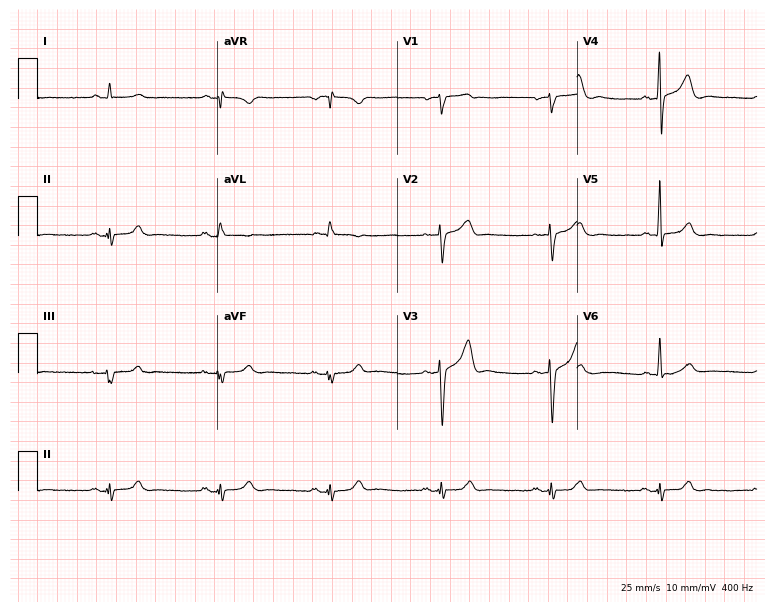
Electrocardiogram (7.3-second recording at 400 Hz), a 57-year-old male patient. Of the six screened findings (first-degree AV block, right bundle branch block, left bundle branch block, sinus bradycardia, atrial fibrillation, sinus tachycardia), none is recorded.